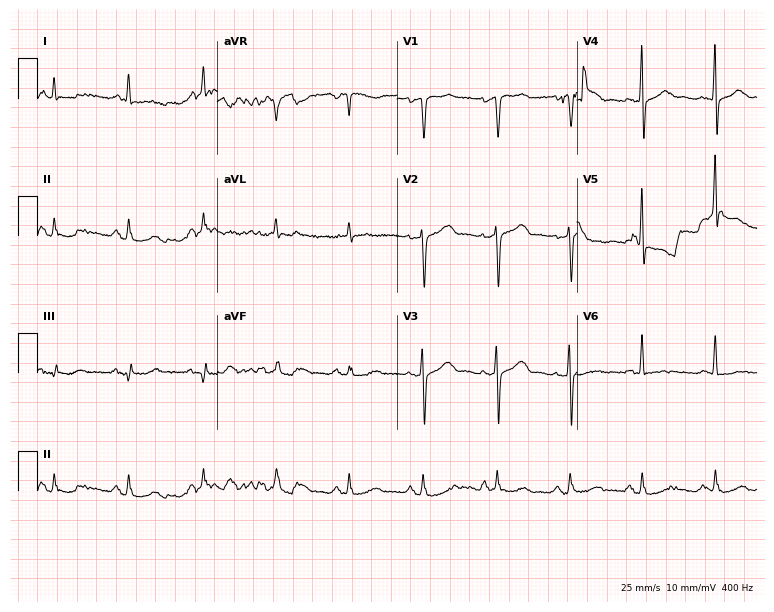
12-lead ECG from a female patient, 60 years old. Screened for six findings — first-degree AV block, right bundle branch block, left bundle branch block, sinus bradycardia, atrial fibrillation, sinus tachycardia — none is recorded.